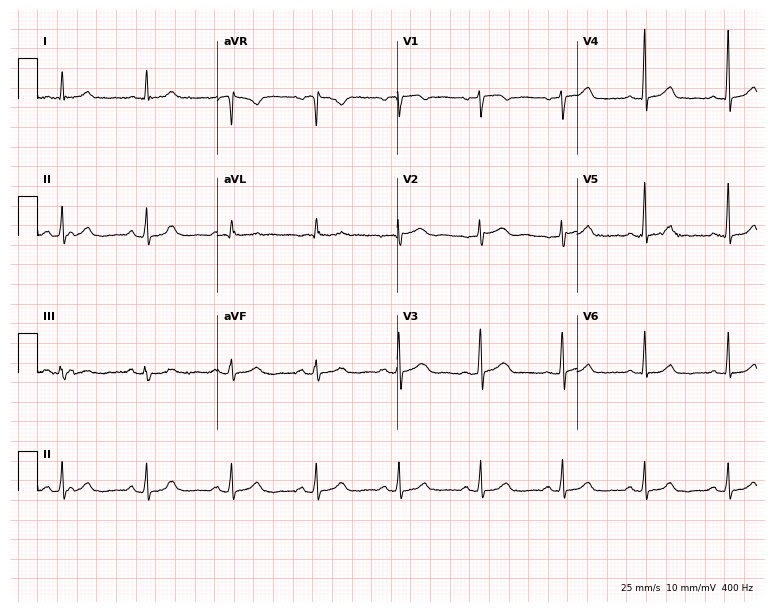
Electrocardiogram (7.3-second recording at 400 Hz), a woman, 52 years old. Overall reading on record: normal ECG.